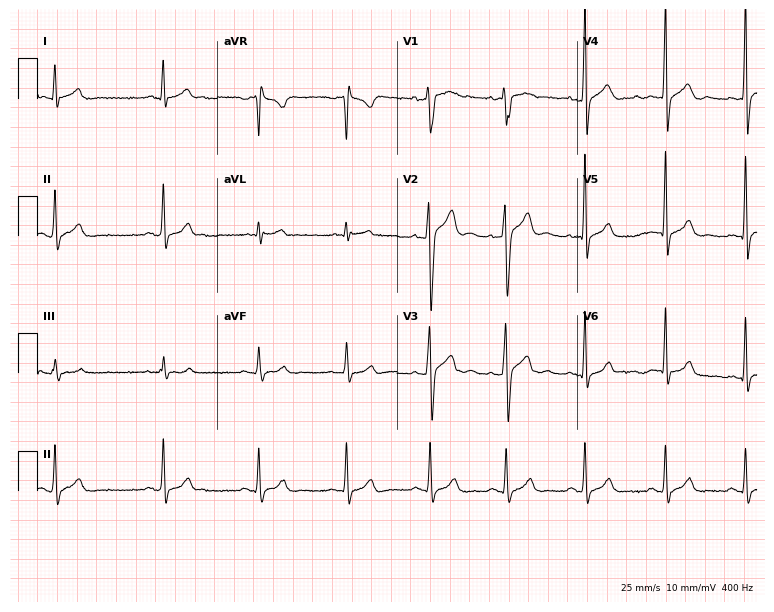
12-lead ECG from a 32-year-old male patient. Screened for six findings — first-degree AV block, right bundle branch block (RBBB), left bundle branch block (LBBB), sinus bradycardia, atrial fibrillation (AF), sinus tachycardia — none is recorded.